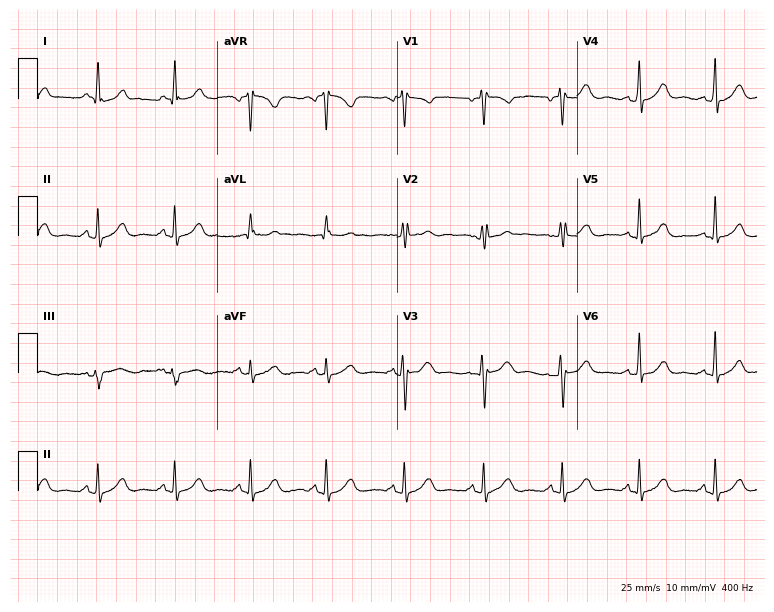
Resting 12-lead electrocardiogram. Patient: a female, 55 years old. Read as a normal ECG.